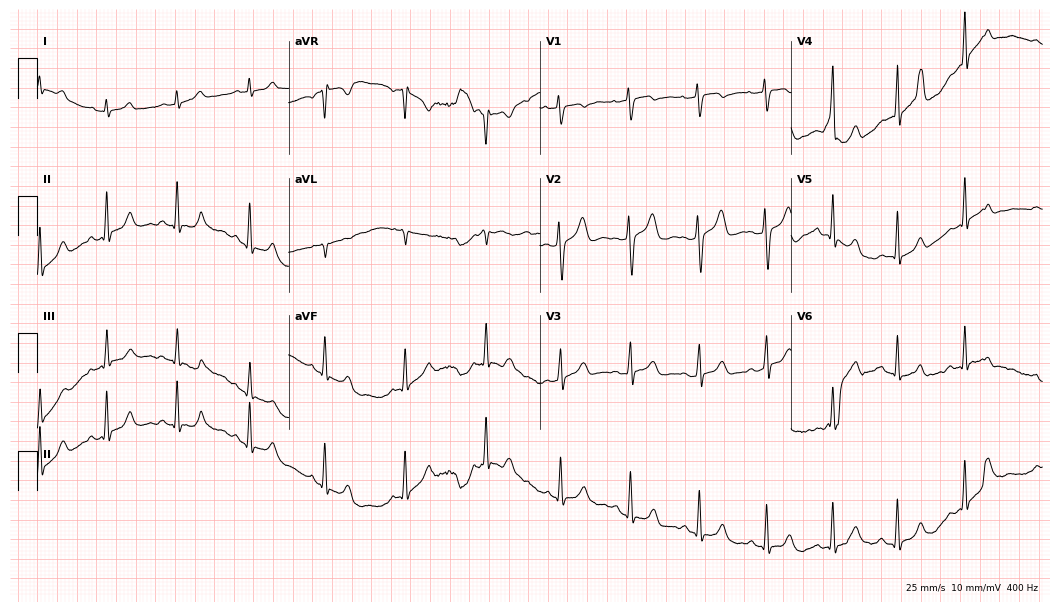
12-lead ECG from a 23-year-old woman. Labelled as a normal ECG.